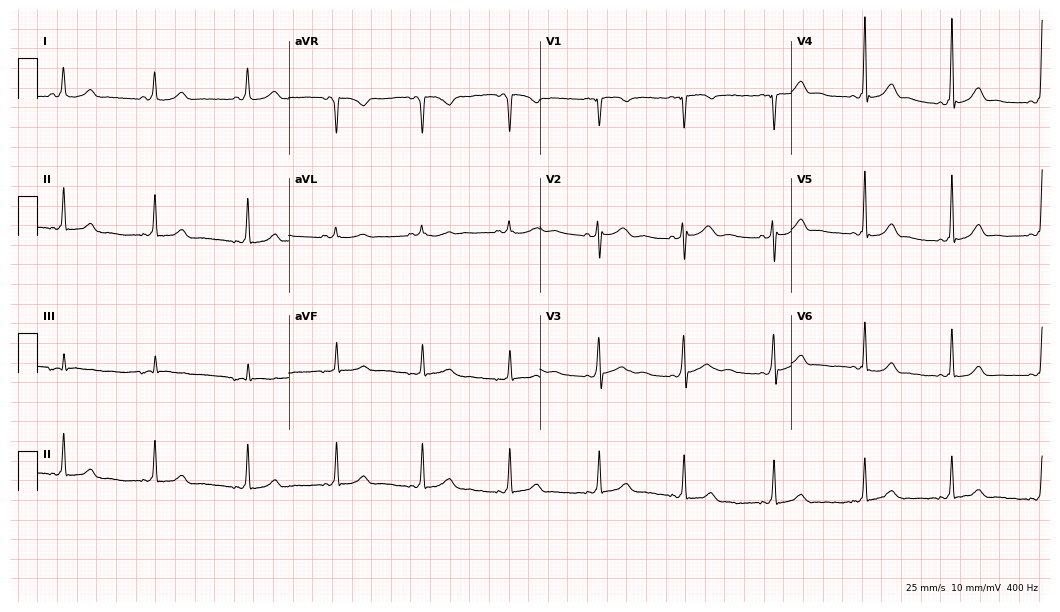
Standard 12-lead ECG recorded from a female patient, 18 years old (10.2-second recording at 400 Hz). None of these six findings is recorded: first-degree AV block, right bundle branch block, left bundle branch block, sinus bradycardia, atrial fibrillation, sinus tachycardia. Findings outside these six are not listed.